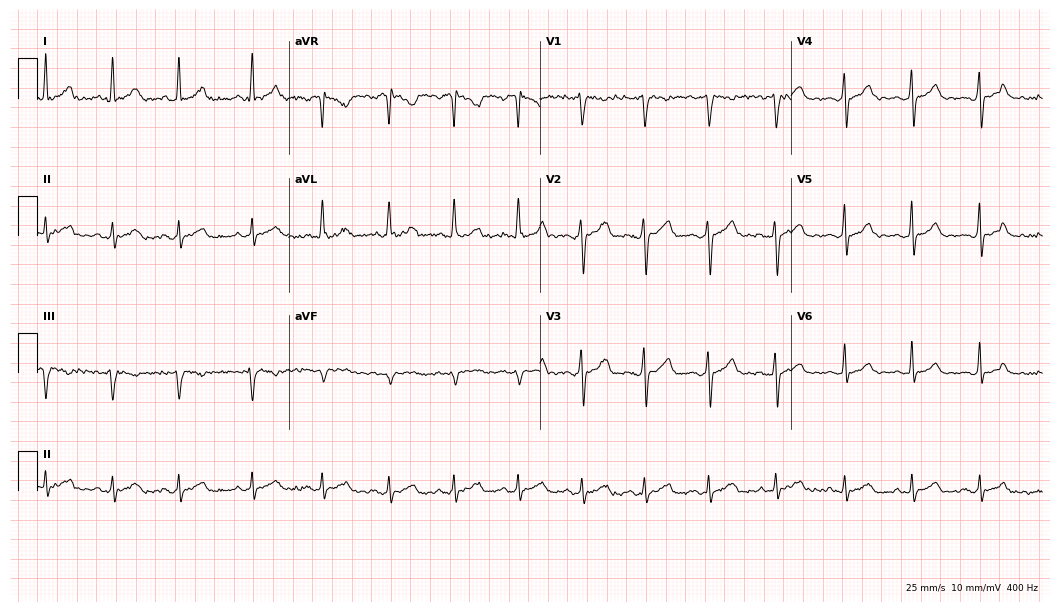
Standard 12-lead ECG recorded from a female, 24 years old. Read as a normal ECG.